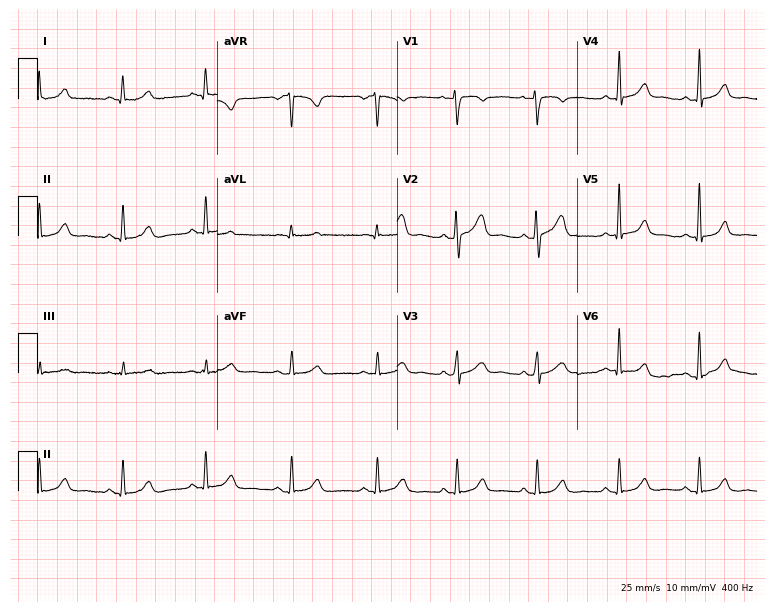
Resting 12-lead electrocardiogram. Patient: a female, 40 years old. Read as a normal ECG.